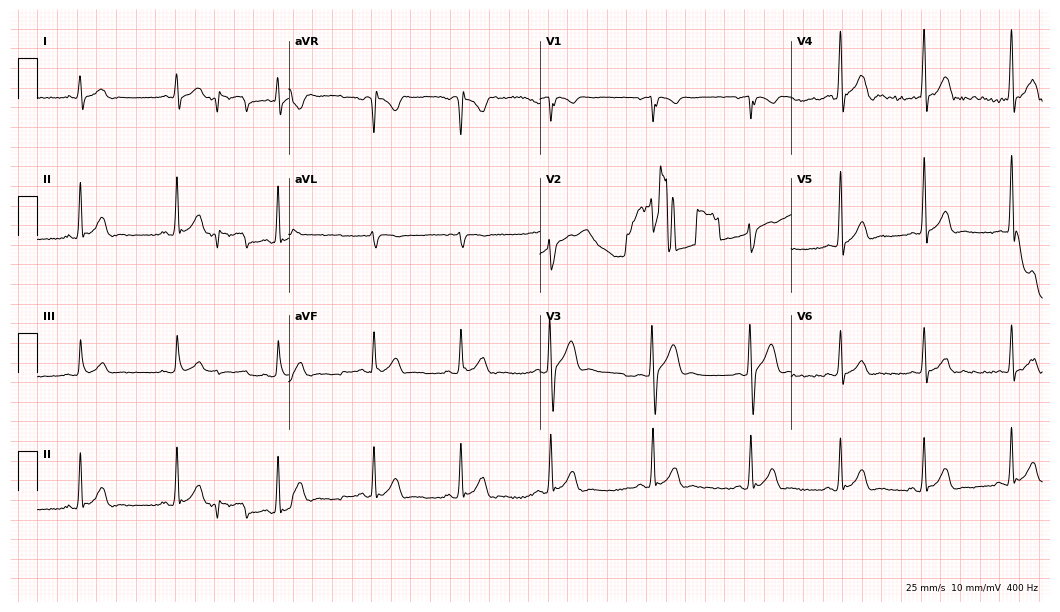
12-lead ECG (10.2-second recording at 400 Hz) from a 24-year-old male patient. Screened for six findings — first-degree AV block, right bundle branch block, left bundle branch block, sinus bradycardia, atrial fibrillation, sinus tachycardia — none is recorded.